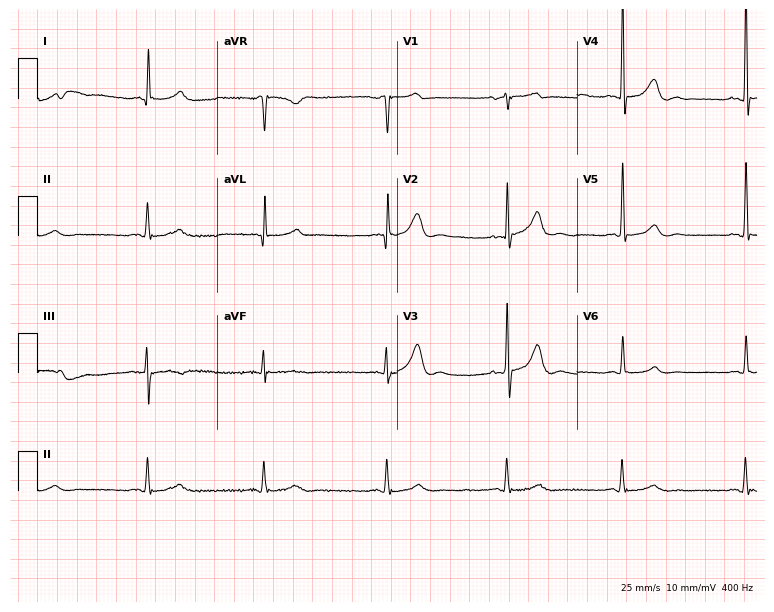
12-lead ECG (7.3-second recording at 400 Hz) from a female patient, 80 years old. Labelled as a normal ECG.